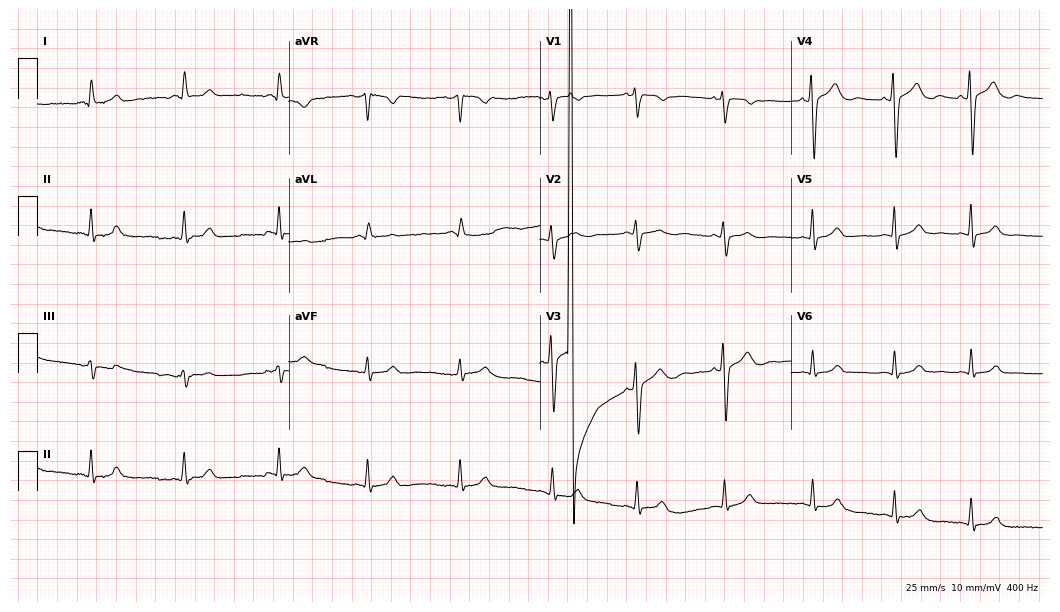
12-lead ECG from a female patient, 22 years old. No first-degree AV block, right bundle branch block, left bundle branch block, sinus bradycardia, atrial fibrillation or sinus tachycardia recorded for this tracing.